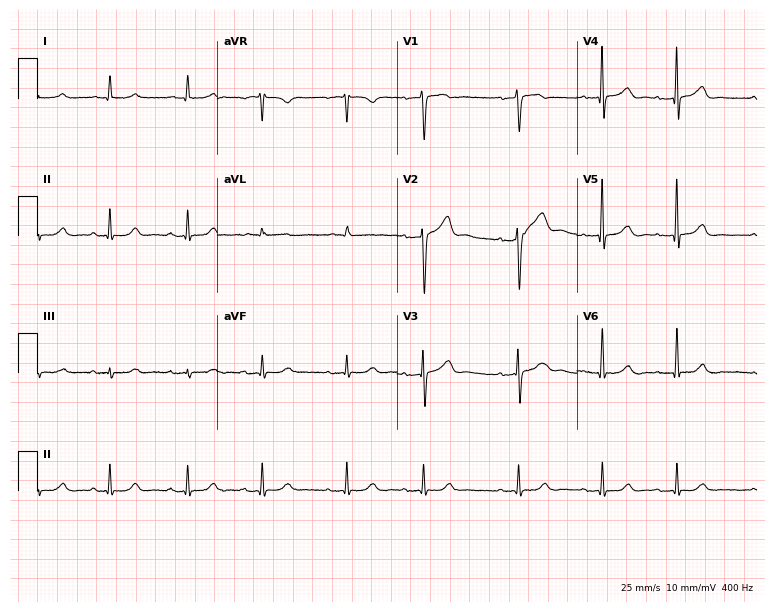
Electrocardiogram, an 84-year-old female. Overall reading on record: normal ECG.